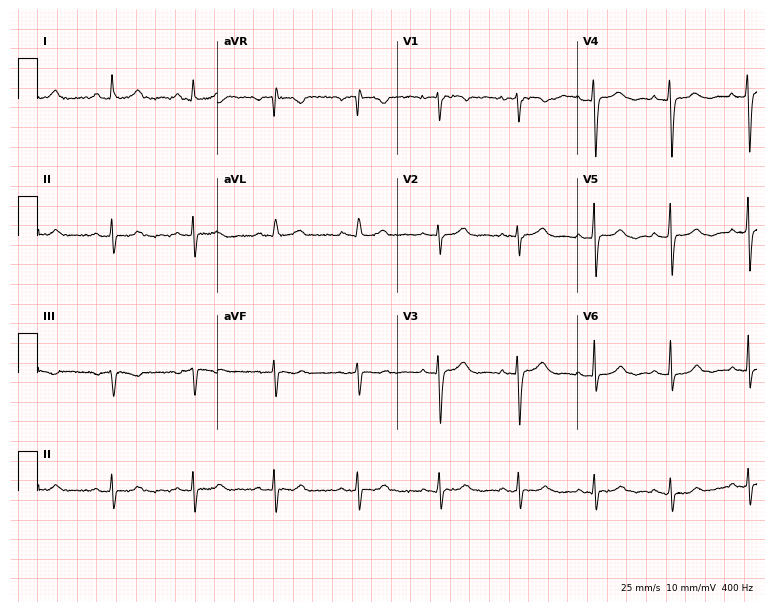
Electrocardiogram (7.3-second recording at 400 Hz), a 53-year-old woman. Of the six screened findings (first-degree AV block, right bundle branch block, left bundle branch block, sinus bradycardia, atrial fibrillation, sinus tachycardia), none is recorded.